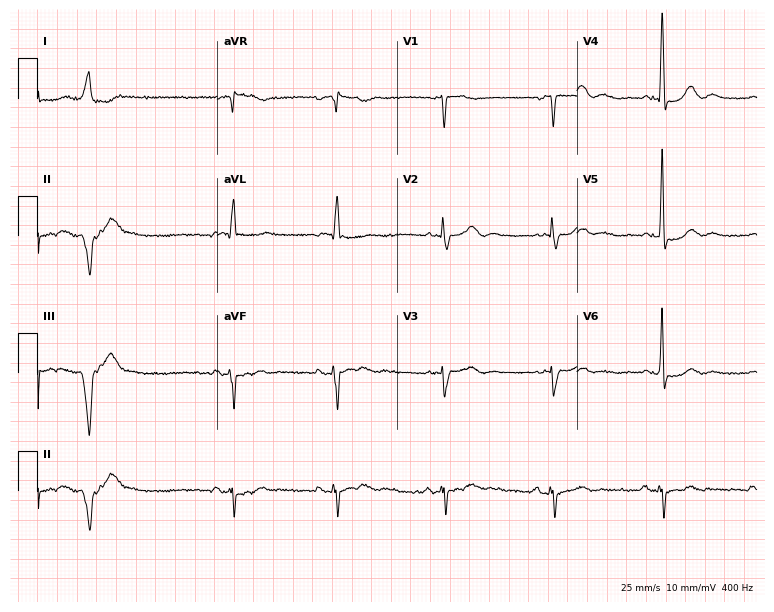
ECG — a 78-year-old man. Screened for six findings — first-degree AV block, right bundle branch block, left bundle branch block, sinus bradycardia, atrial fibrillation, sinus tachycardia — none is recorded. Other findings, if any, are not listed.